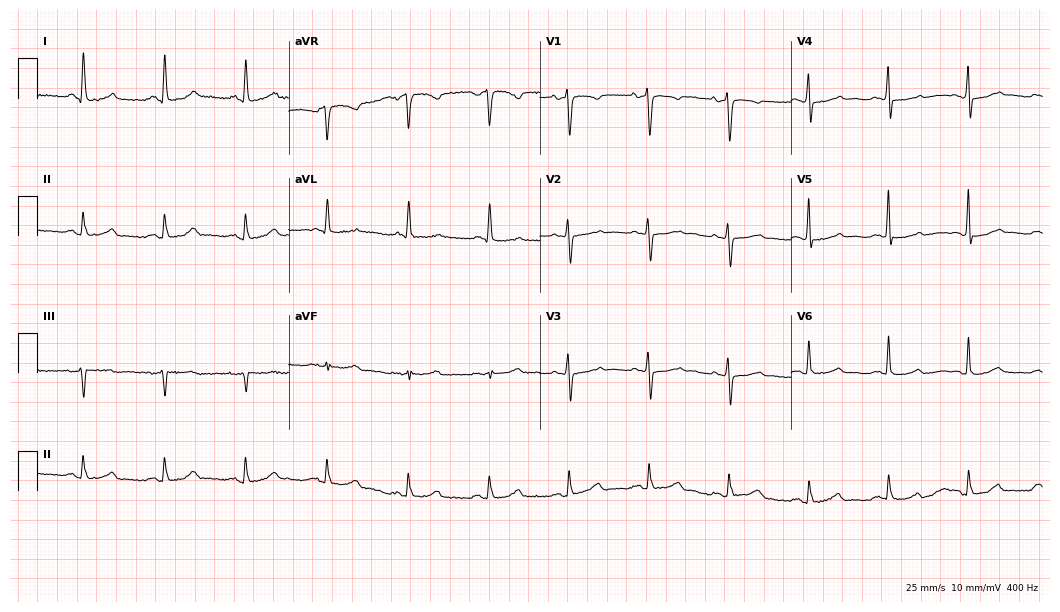
ECG — a female, 67 years old. Screened for six findings — first-degree AV block, right bundle branch block, left bundle branch block, sinus bradycardia, atrial fibrillation, sinus tachycardia — none is recorded. Only these six findings were labelled.